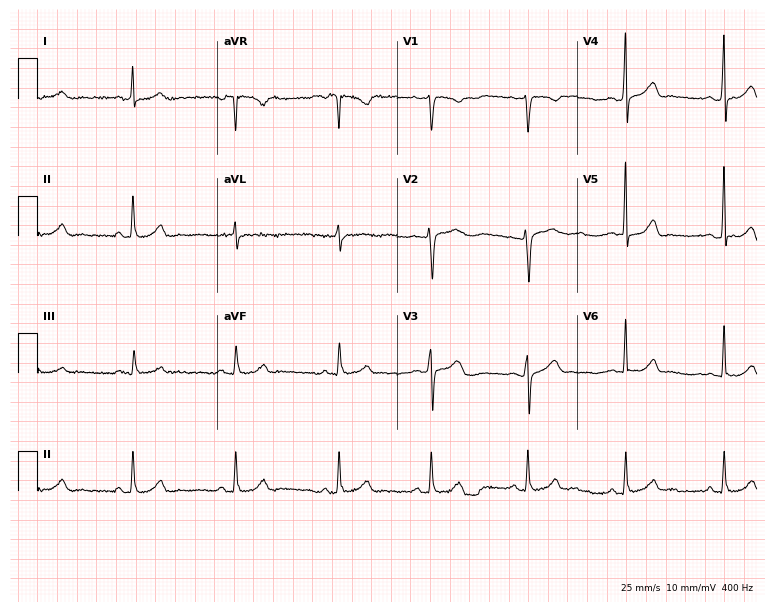
12-lead ECG from a 38-year-old female patient (7.3-second recording at 400 Hz). Recorded interpretation: within normal limits.